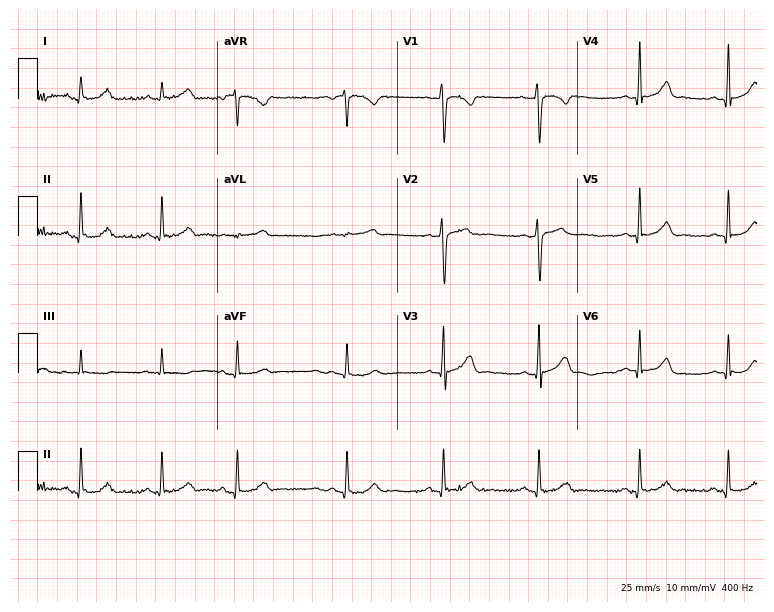
Resting 12-lead electrocardiogram. Patient: a female, 27 years old. None of these six findings is recorded: first-degree AV block, right bundle branch block, left bundle branch block, sinus bradycardia, atrial fibrillation, sinus tachycardia. Only these six findings were labelled.